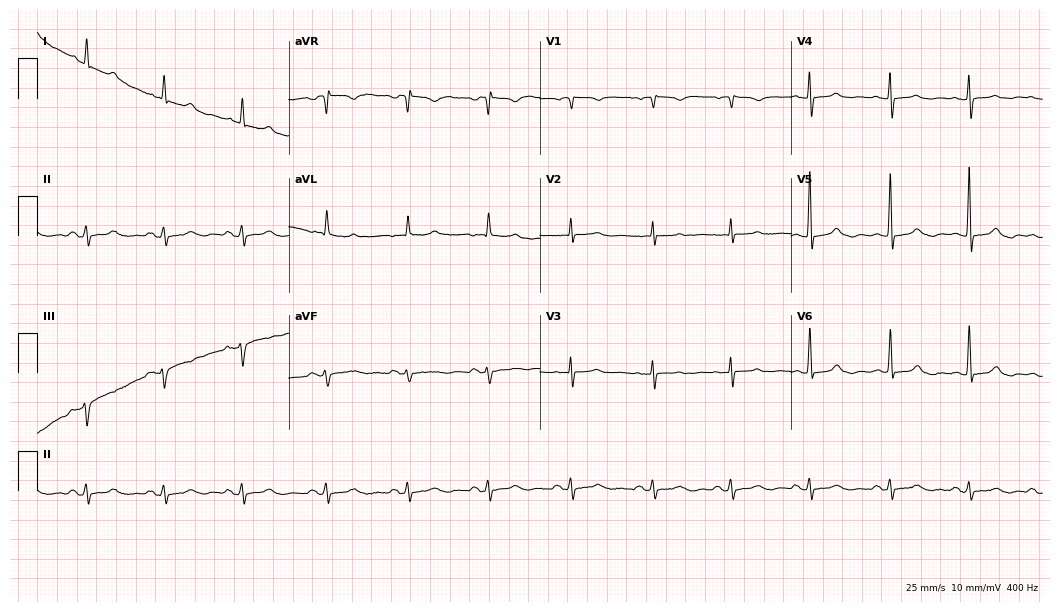
12-lead ECG from an 84-year-old female. No first-degree AV block, right bundle branch block, left bundle branch block, sinus bradycardia, atrial fibrillation or sinus tachycardia recorded for this tracing. Only these six findings were labelled.